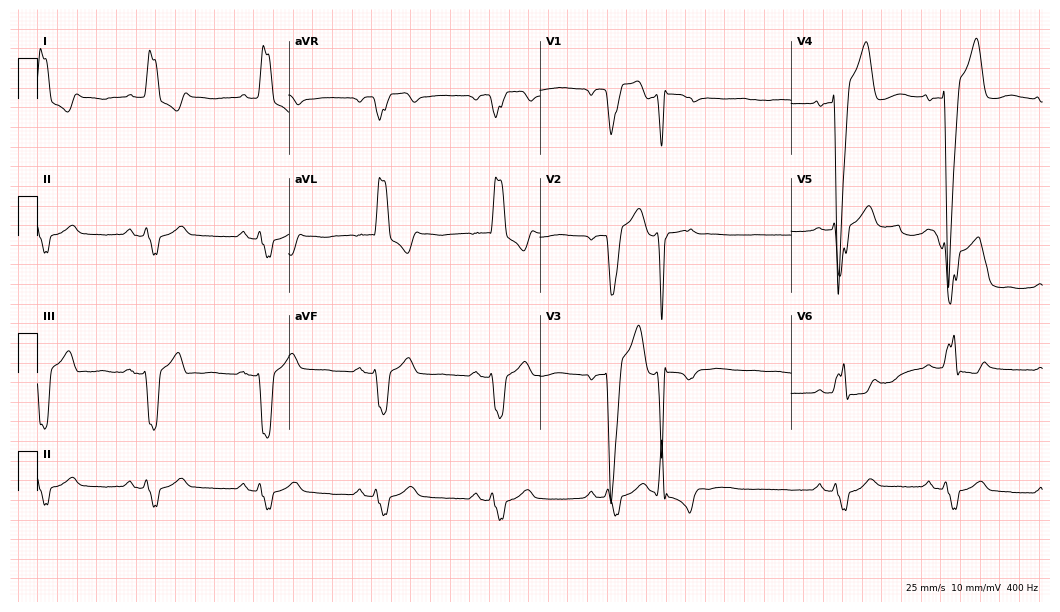
Electrocardiogram (10.2-second recording at 400 Hz), a female, 78 years old. Interpretation includes left bundle branch block.